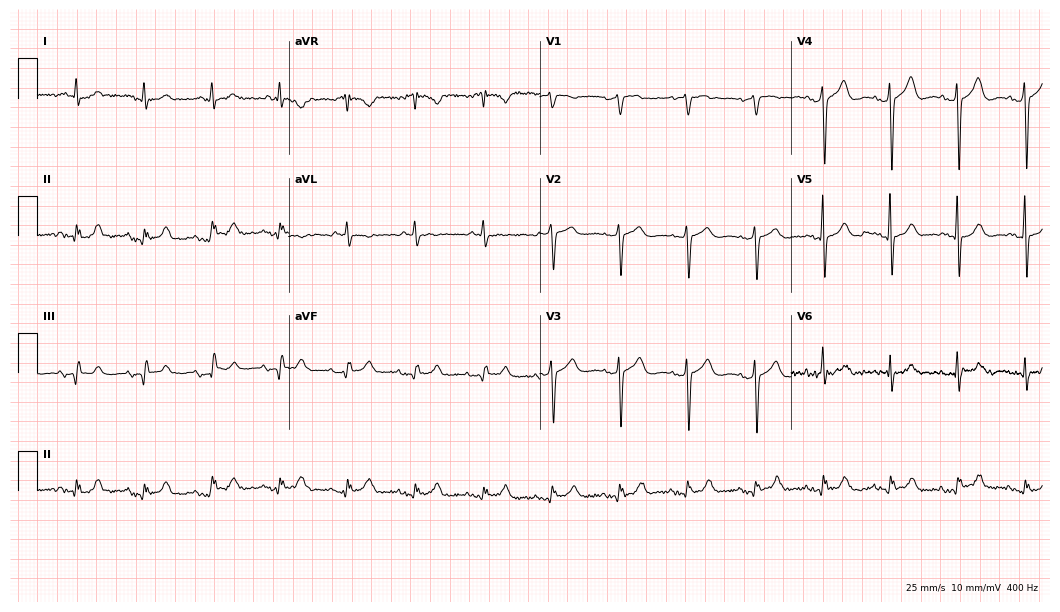
Standard 12-lead ECG recorded from an 84-year-old female patient. None of these six findings is recorded: first-degree AV block, right bundle branch block (RBBB), left bundle branch block (LBBB), sinus bradycardia, atrial fibrillation (AF), sinus tachycardia.